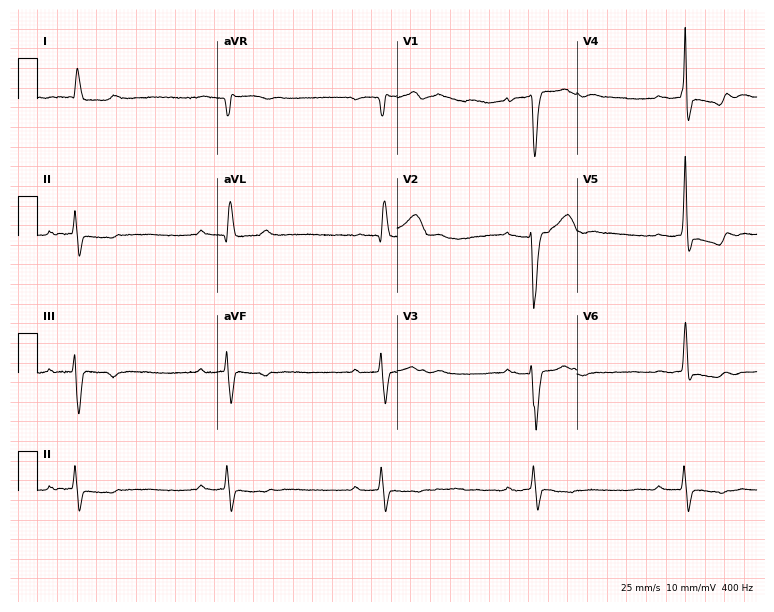
12-lead ECG (7.3-second recording at 400 Hz) from an 82-year-old male. Findings include first-degree AV block, sinus bradycardia (a sinus rate of 50 beats per minute or less).